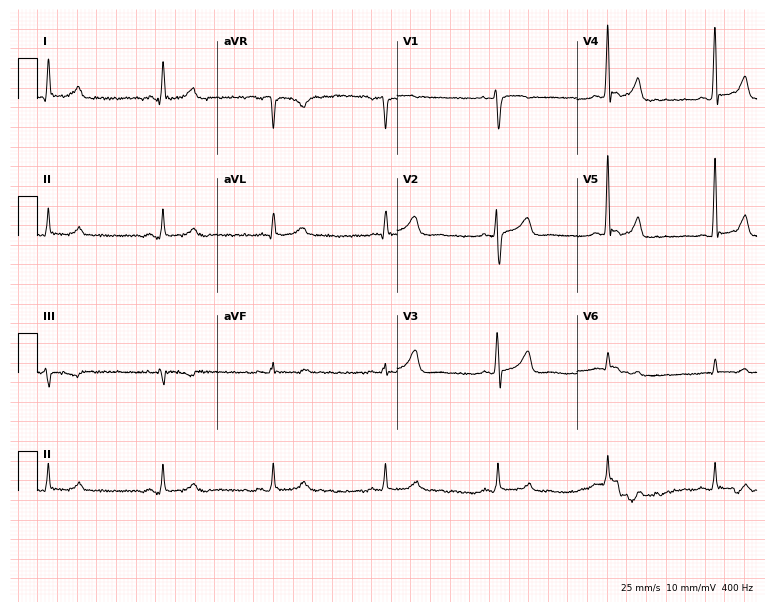
12-lead ECG from a female, 49 years old. Labelled as a normal ECG.